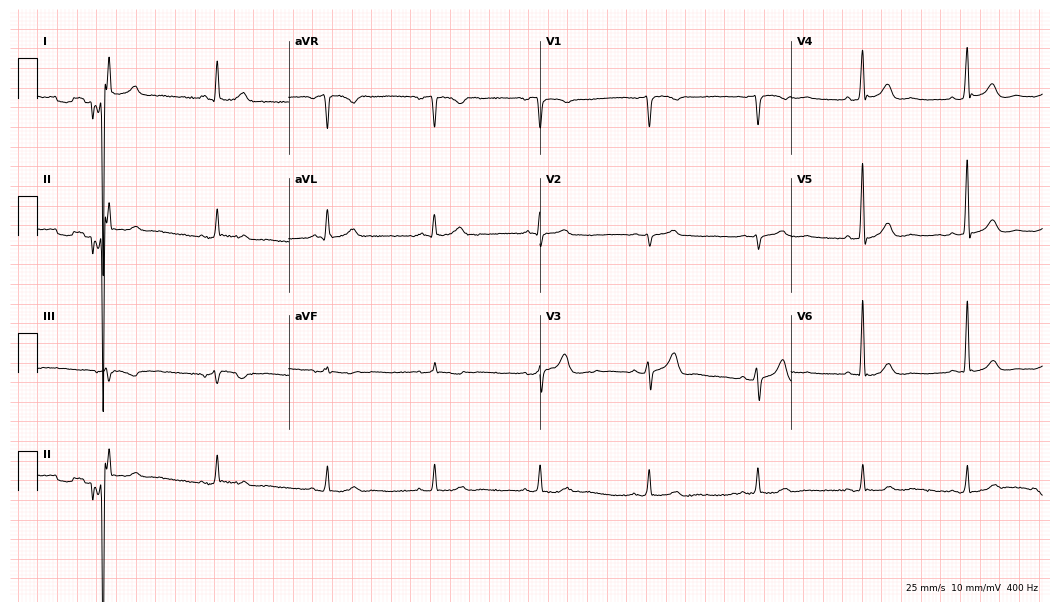
12-lead ECG from a male patient, 66 years old. No first-degree AV block, right bundle branch block, left bundle branch block, sinus bradycardia, atrial fibrillation or sinus tachycardia recorded for this tracing.